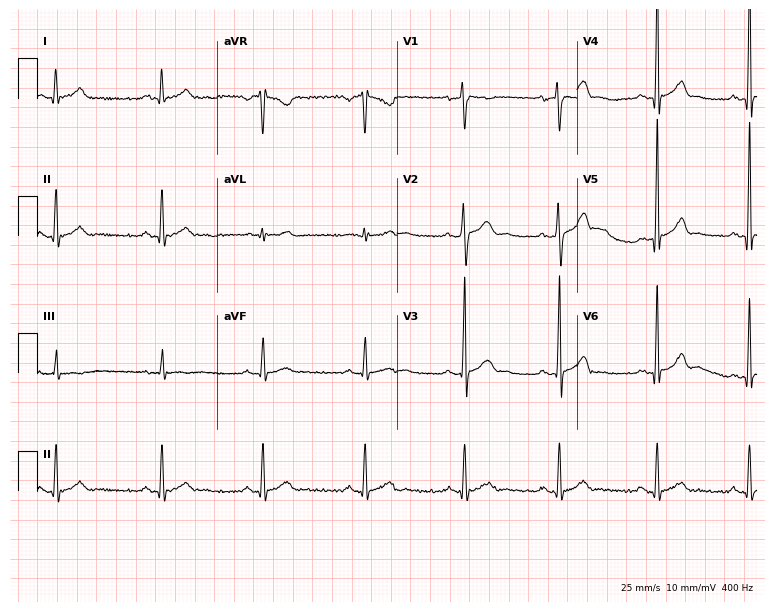
ECG — a 30-year-old man. Screened for six findings — first-degree AV block, right bundle branch block, left bundle branch block, sinus bradycardia, atrial fibrillation, sinus tachycardia — none is recorded.